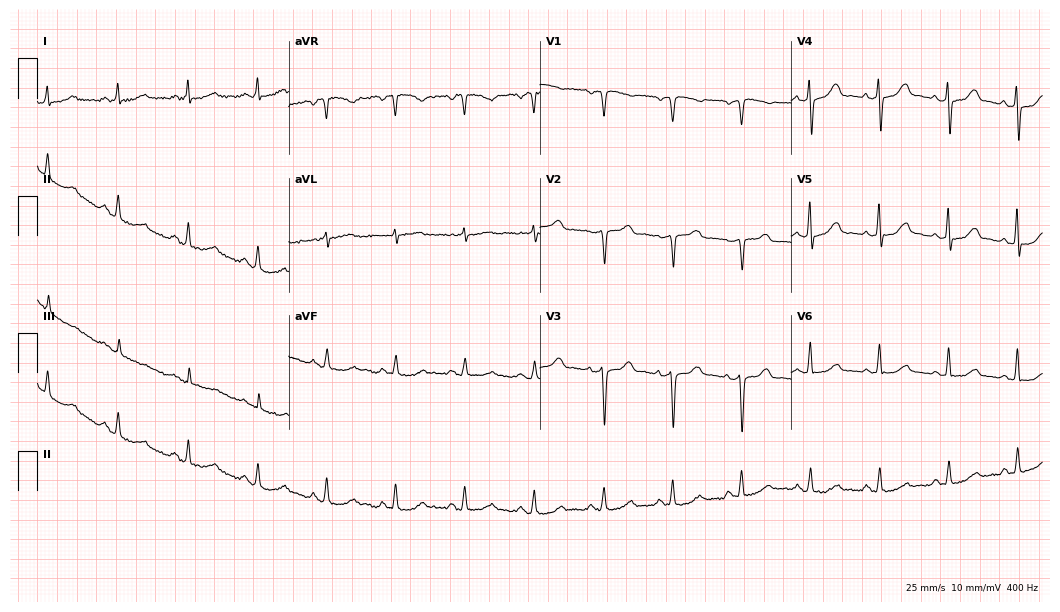
Standard 12-lead ECG recorded from a 59-year-old female (10.2-second recording at 400 Hz). Read as a normal ECG.